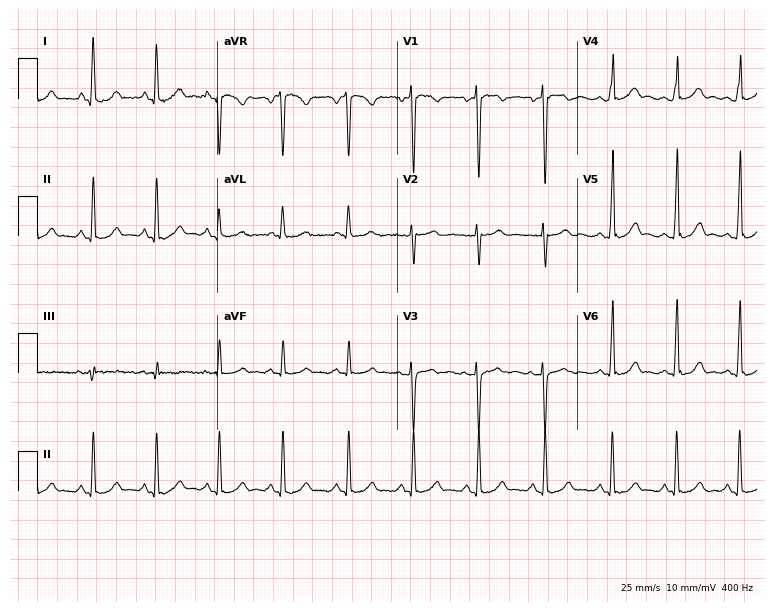
Standard 12-lead ECG recorded from a female patient, 18 years old. None of these six findings is recorded: first-degree AV block, right bundle branch block, left bundle branch block, sinus bradycardia, atrial fibrillation, sinus tachycardia. Other findings, if any, are not listed.